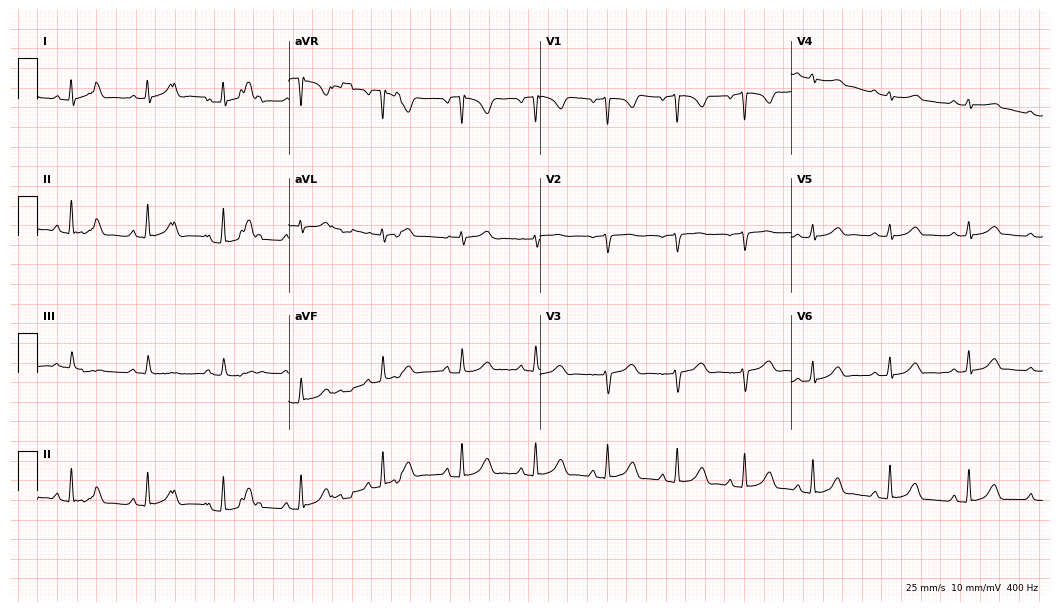
ECG (10.2-second recording at 400 Hz) — a female, 24 years old. Screened for six findings — first-degree AV block, right bundle branch block, left bundle branch block, sinus bradycardia, atrial fibrillation, sinus tachycardia — none is recorded.